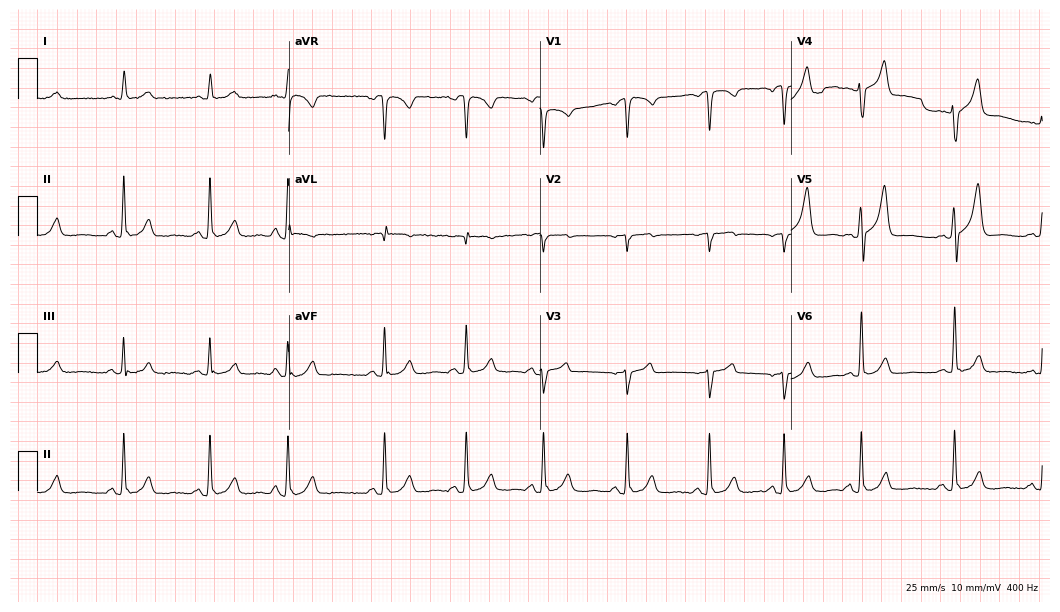
12-lead ECG from a male patient, 62 years old. No first-degree AV block, right bundle branch block, left bundle branch block, sinus bradycardia, atrial fibrillation or sinus tachycardia recorded for this tracing. Only these six findings were labelled.